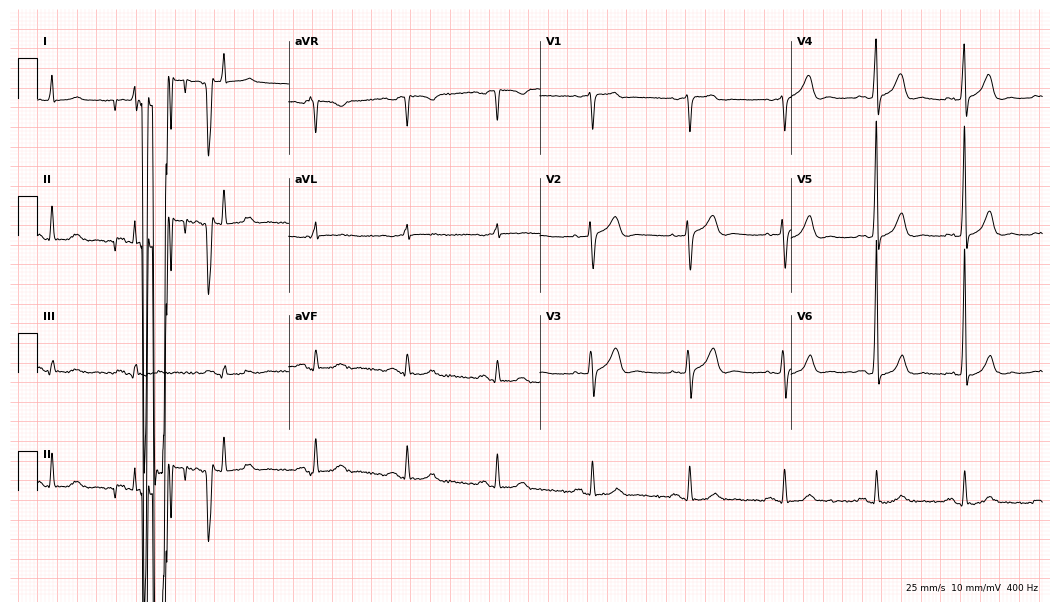
Electrocardiogram, an 82-year-old male. Of the six screened findings (first-degree AV block, right bundle branch block (RBBB), left bundle branch block (LBBB), sinus bradycardia, atrial fibrillation (AF), sinus tachycardia), none is recorded. Only these six findings were labelled.